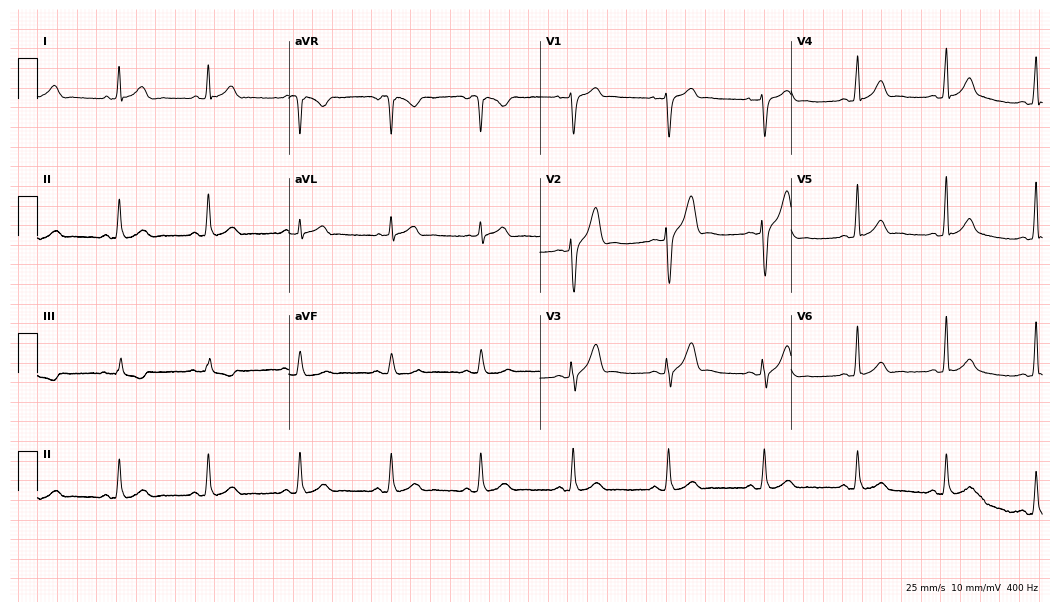
Resting 12-lead electrocardiogram (10.2-second recording at 400 Hz). Patient: a 37-year-old male. None of these six findings is recorded: first-degree AV block, right bundle branch block, left bundle branch block, sinus bradycardia, atrial fibrillation, sinus tachycardia.